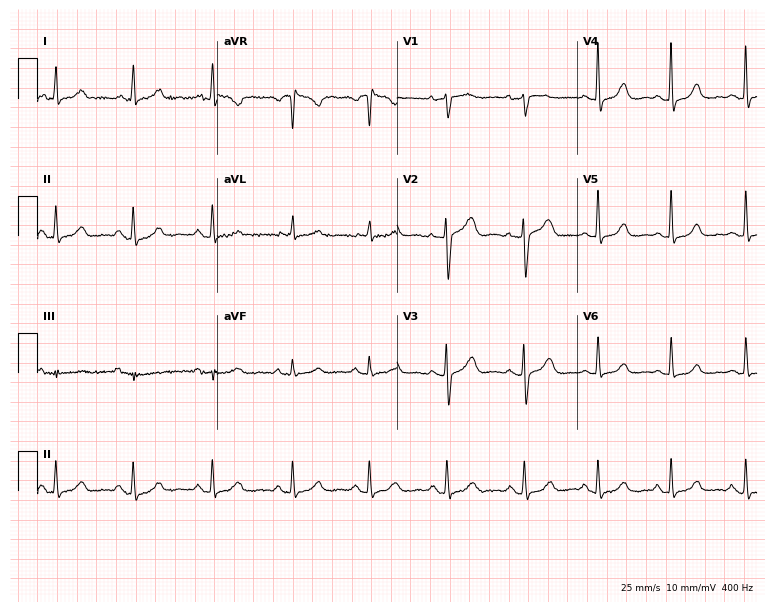
Resting 12-lead electrocardiogram. Patient: a woman, 54 years old. Read as a normal ECG.